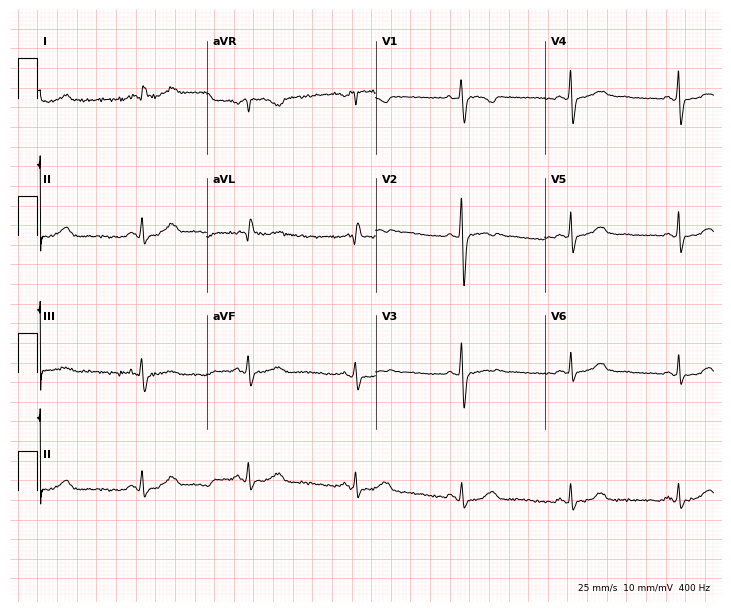
Electrocardiogram, a 37-year-old woman. Overall reading on record: normal ECG.